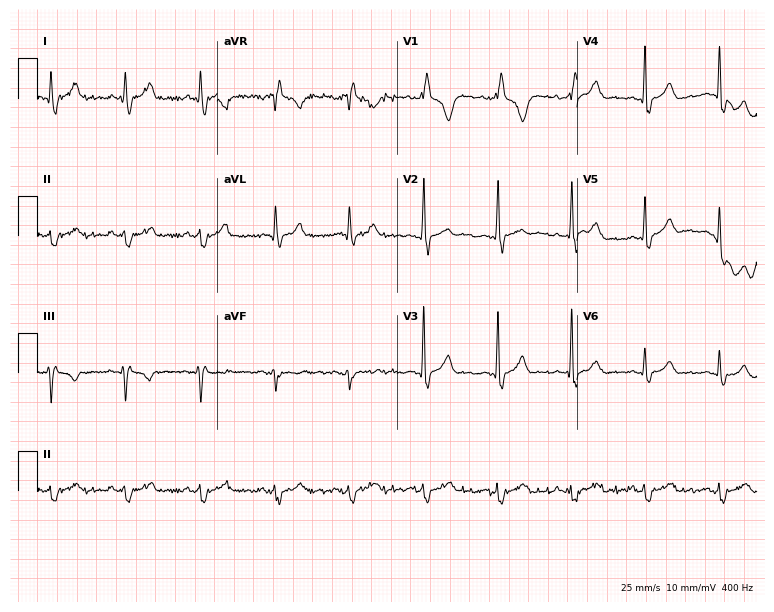
12-lead ECG from a 33-year-old woman. Shows right bundle branch block (RBBB).